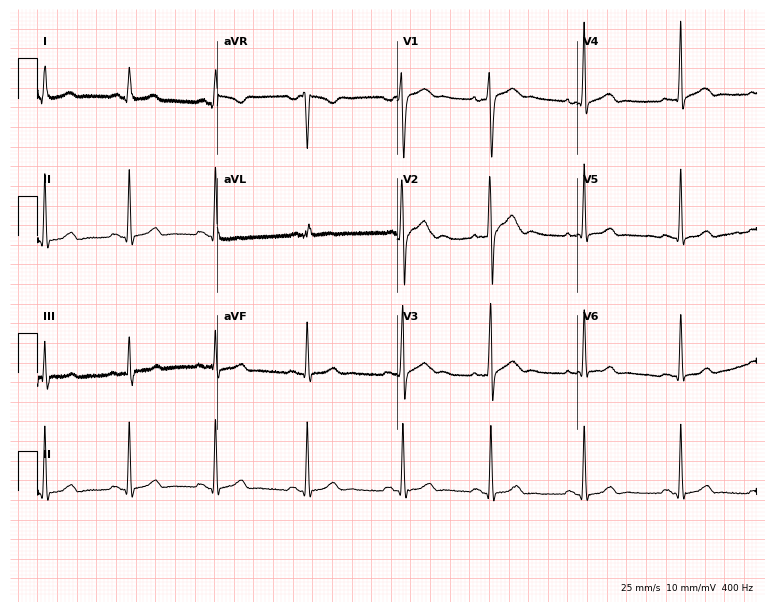
12-lead ECG (7.3-second recording at 400 Hz) from a male patient, 19 years old. Labelled as a normal ECG.